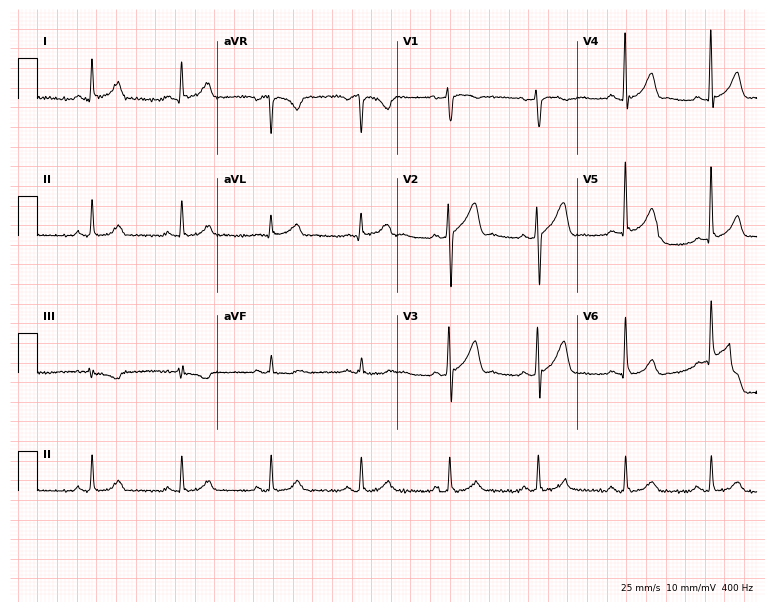
Resting 12-lead electrocardiogram. Patient: a 46-year-old man. None of these six findings is recorded: first-degree AV block, right bundle branch block (RBBB), left bundle branch block (LBBB), sinus bradycardia, atrial fibrillation (AF), sinus tachycardia. Only these six findings were labelled.